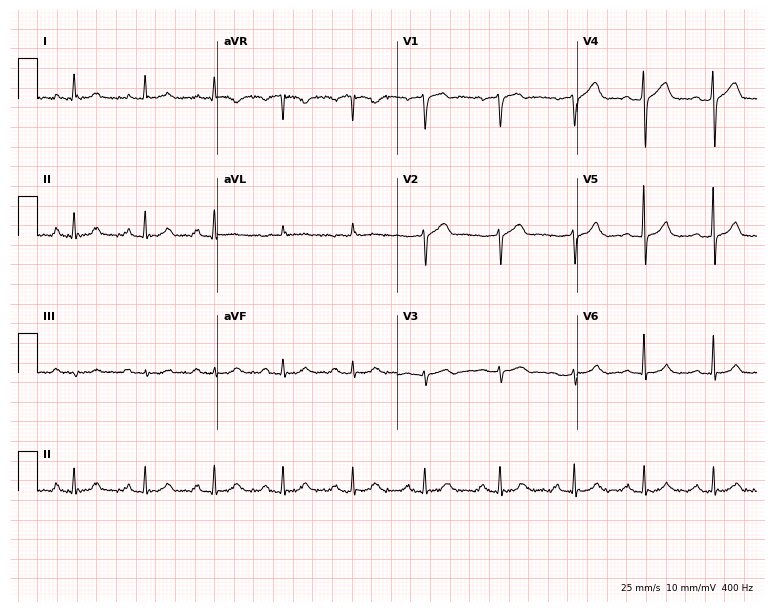
12-lead ECG (7.3-second recording at 400 Hz) from a 65-year-old male patient. Screened for six findings — first-degree AV block, right bundle branch block (RBBB), left bundle branch block (LBBB), sinus bradycardia, atrial fibrillation (AF), sinus tachycardia — none is recorded.